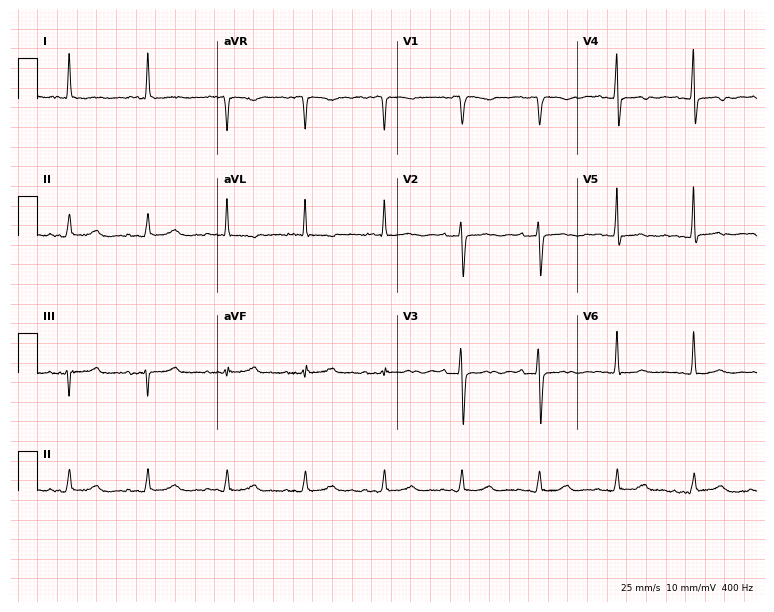
12-lead ECG from a 76-year-old female (7.3-second recording at 400 Hz). Recorded interpretation: within normal limits.